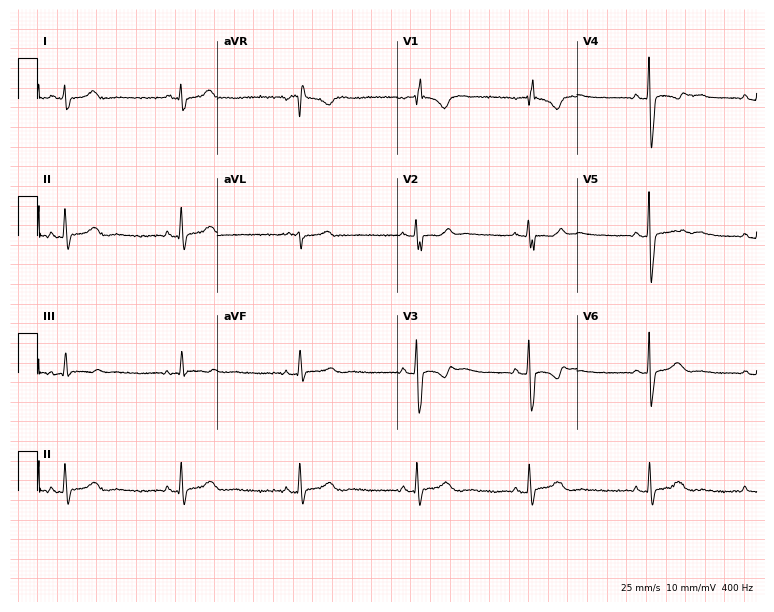
Electrocardiogram (7.3-second recording at 400 Hz), a 21-year-old male. Interpretation includes sinus bradycardia (a sinus rate of 50 beats per minute or less).